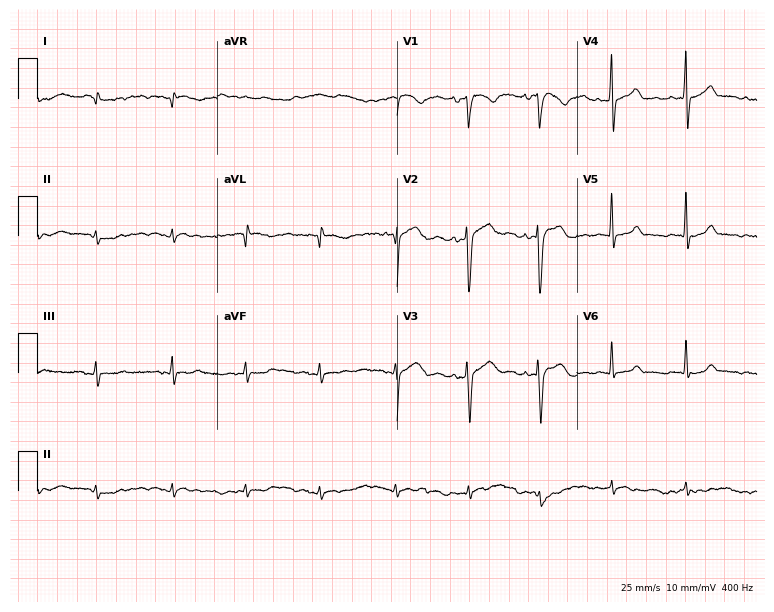
12-lead ECG from a 37-year-old female patient (7.3-second recording at 400 Hz). No first-degree AV block, right bundle branch block (RBBB), left bundle branch block (LBBB), sinus bradycardia, atrial fibrillation (AF) or sinus tachycardia recorded for this tracing.